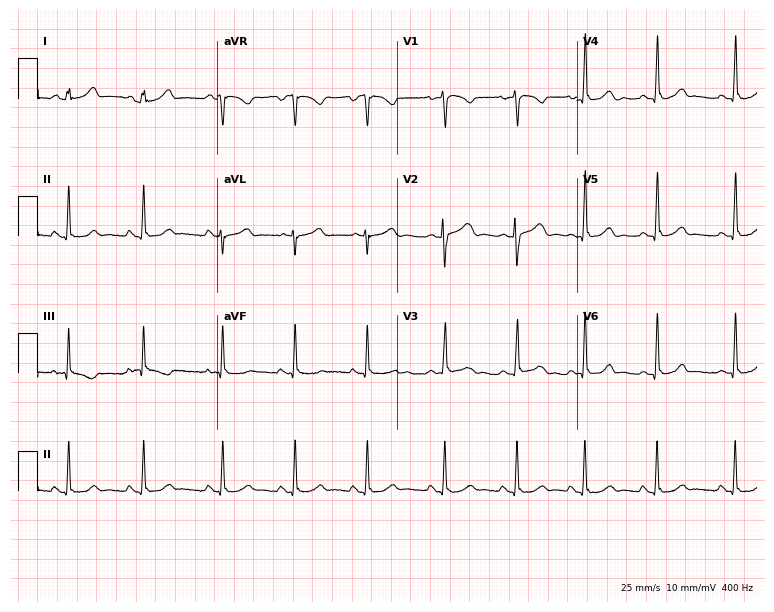
ECG (7.3-second recording at 400 Hz) — a 20-year-old female patient. Labelled as a normal ECG.